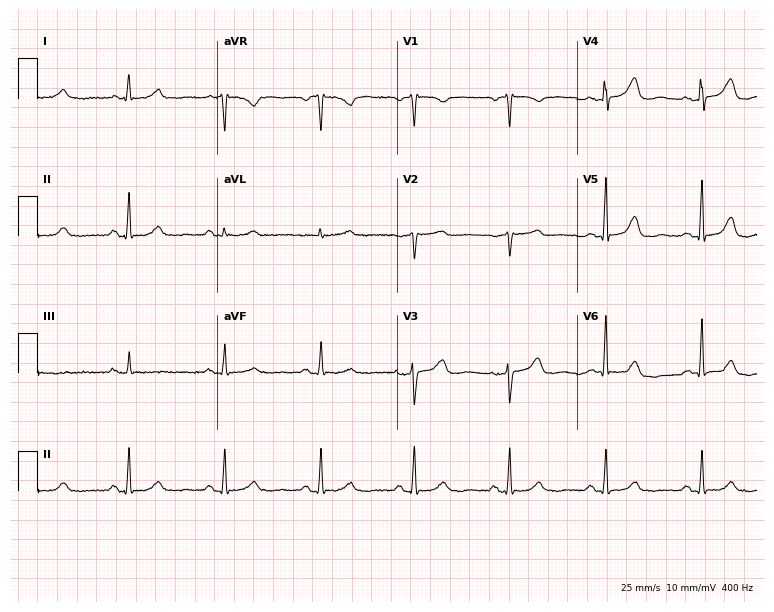
12-lead ECG from a female patient, 64 years old (7.3-second recording at 400 Hz). No first-degree AV block, right bundle branch block, left bundle branch block, sinus bradycardia, atrial fibrillation or sinus tachycardia recorded for this tracing.